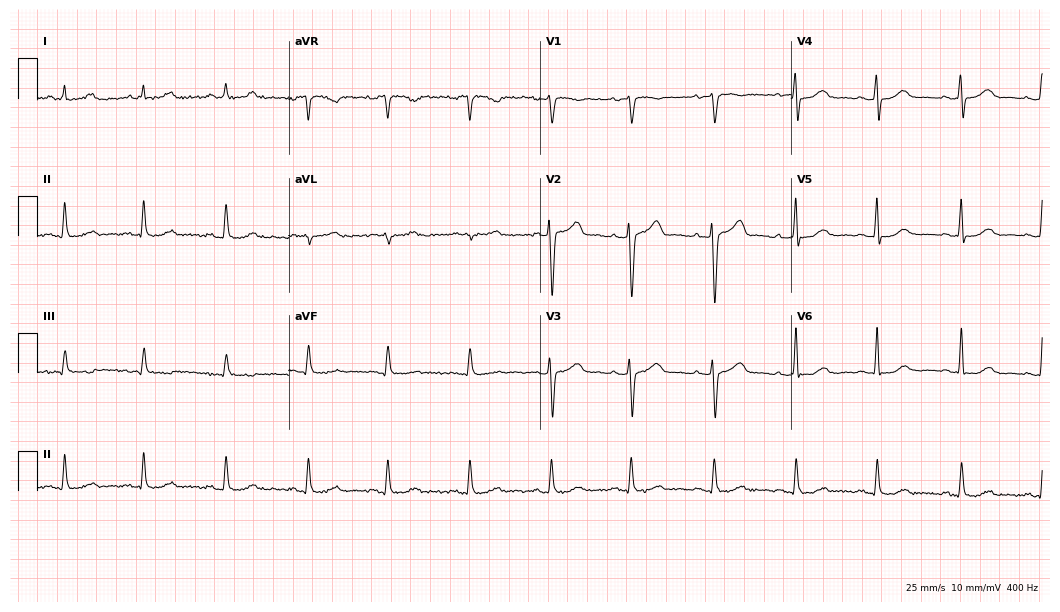
12-lead ECG from a woman, 46 years old (10.2-second recording at 400 Hz). Recorded interpretation: within normal limits.